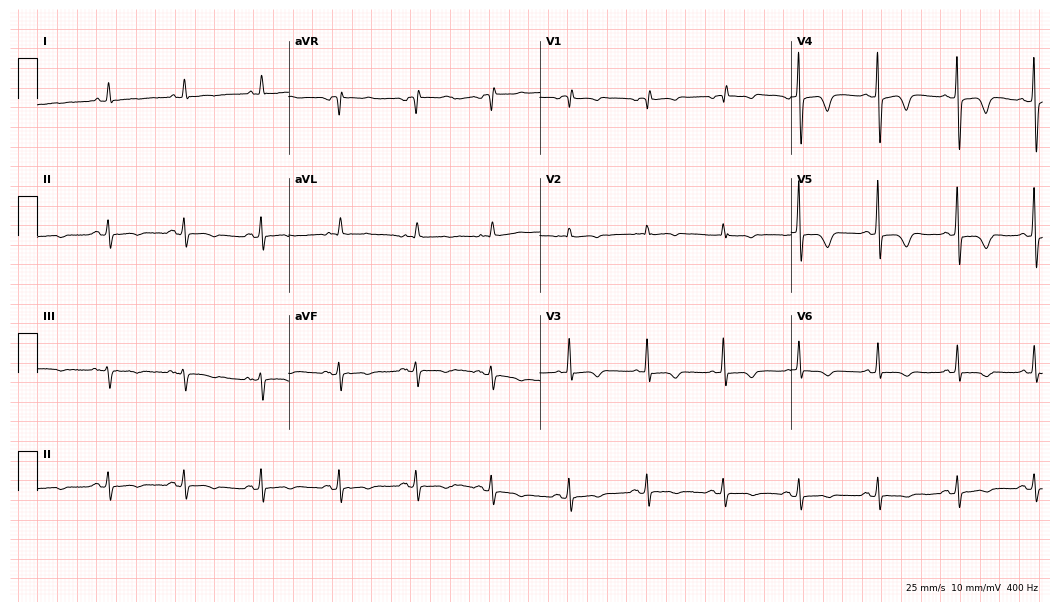
Electrocardiogram (10.2-second recording at 400 Hz), a female patient, 80 years old. Of the six screened findings (first-degree AV block, right bundle branch block, left bundle branch block, sinus bradycardia, atrial fibrillation, sinus tachycardia), none is recorded.